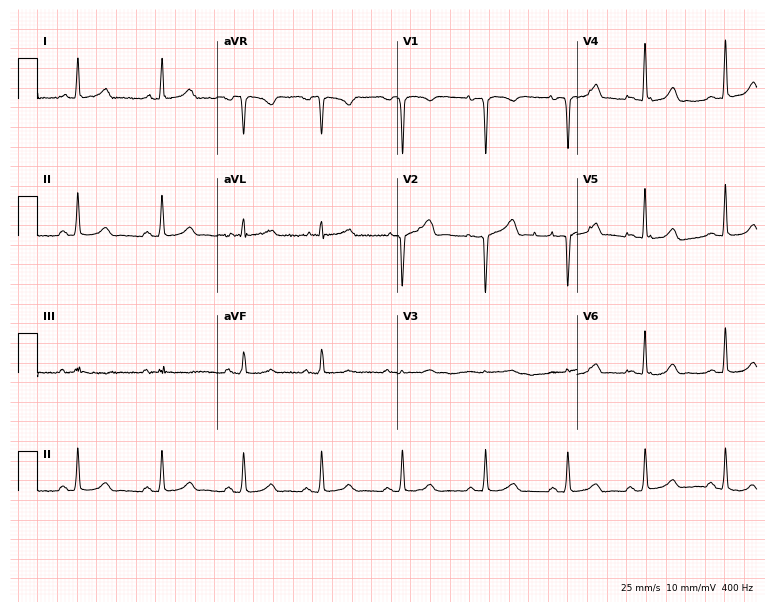
12-lead ECG from a 22-year-old woman. Screened for six findings — first-degree AV block, right bundle branch block (RBBB), left bundle branch block (LBBB), sinus bradycardia, atrial fibrillation (AF), sinus tachycardia — none is recorded.